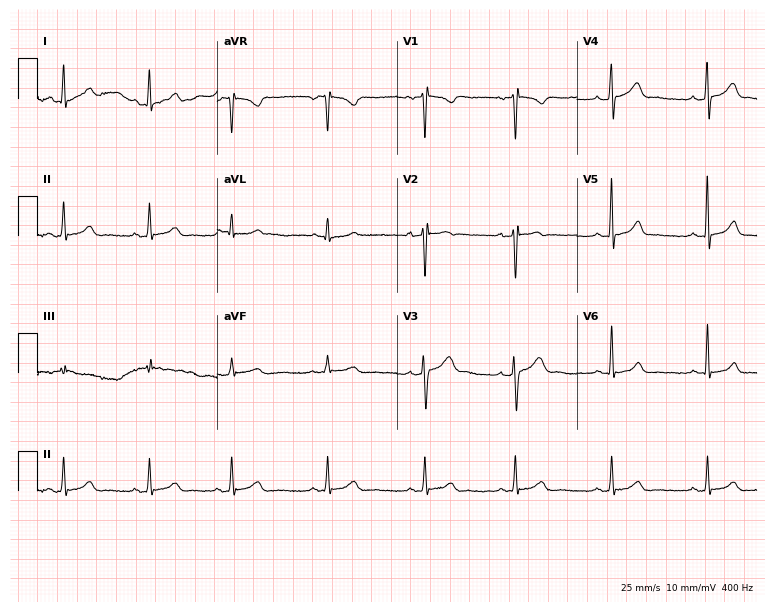
ECG — a 21-year-old man. Labelled as a normal ECG.